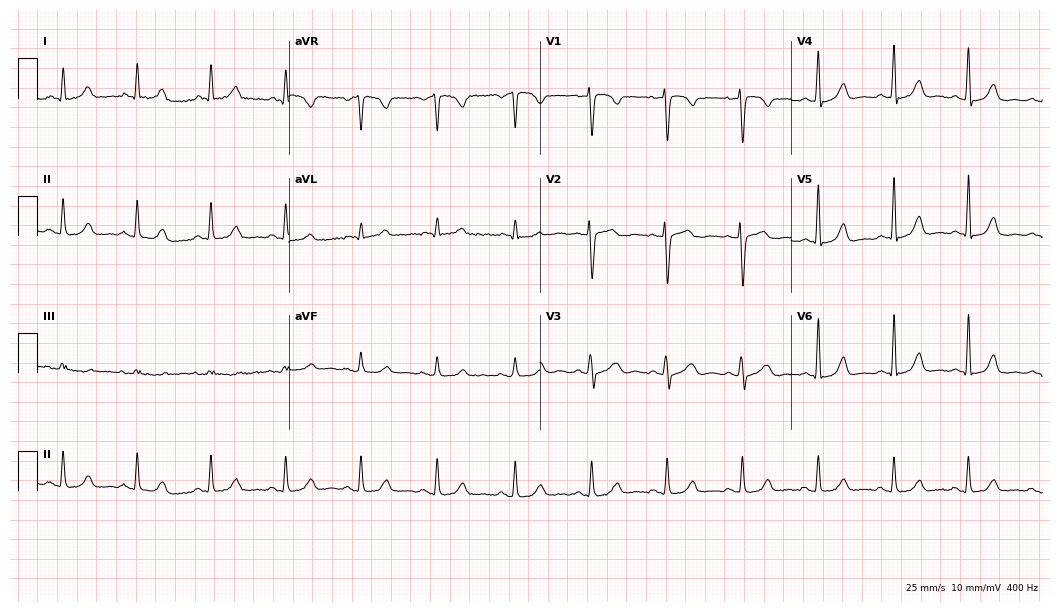
Standard 12-lead ECG recorded from a 46-year-old female (10.2-second recording at 400 Hz). None of these six findings is recorded: first-degree AV block, right bundle branch block, left bundle branch block, sinus bradycardia, atrial fibrillation, sinus tachycardia. Only these six findings were labelled.